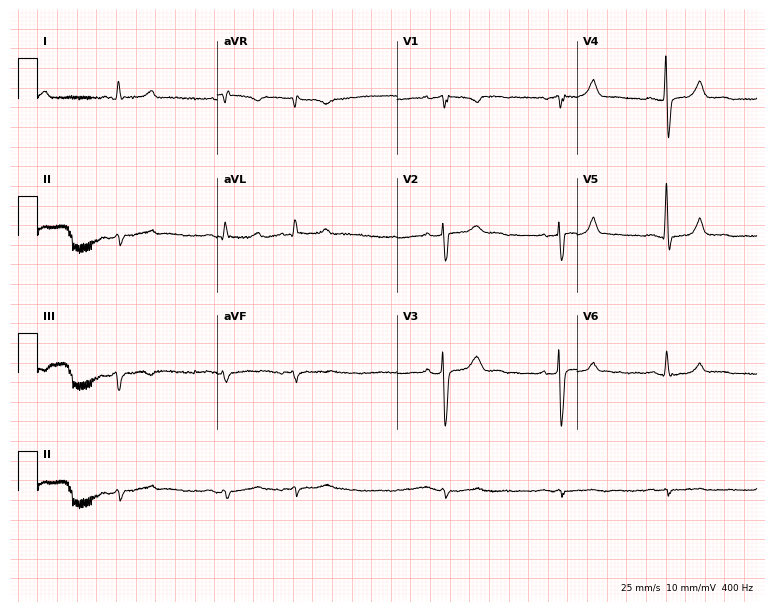
12-lead ECG from a 54-year-old male. Screened for six findings — first-degree AV block, right bundle branch block, left bundle branch block, sinus bradycardia, atrial fibrillation, sinus tachycardia — none is recorded.